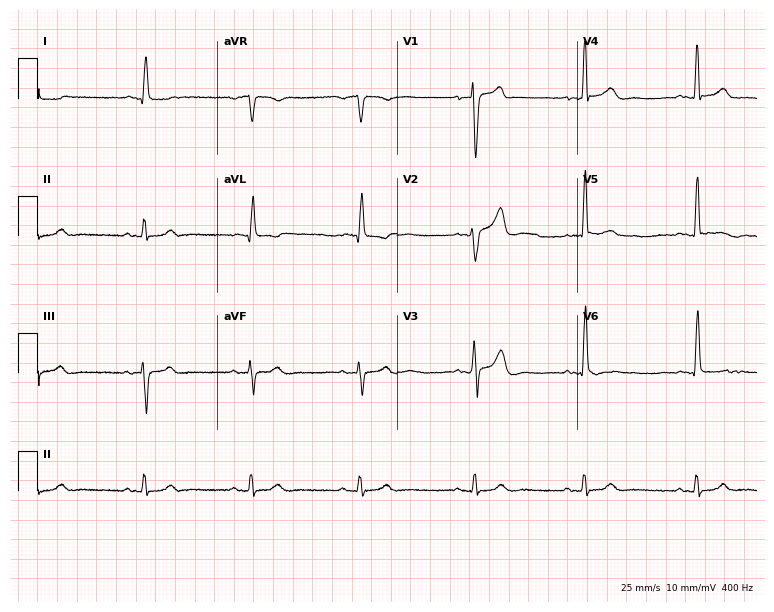
12-lead ECG from a man, 71 years old. No first-degree AV block, right bundle branch block, left bundle branch block, sinus bradycardia, atrial fibrillation or sinus tachycardia recorded for this tracing. Findings outside these six are not listed.